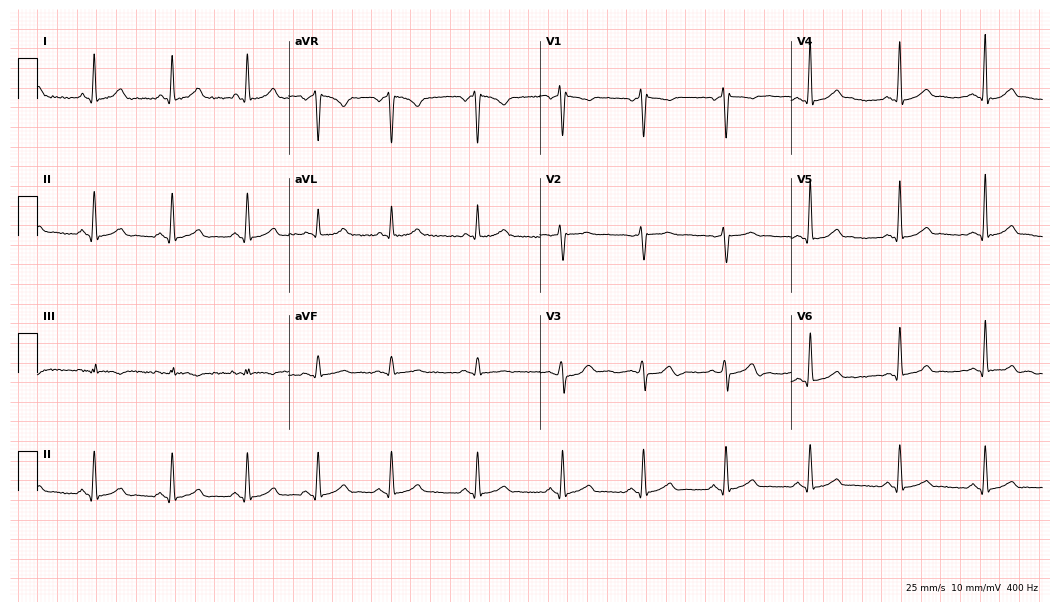
12-lead ECG from a man, 31 years old. Recorded interpretation: within normal limits.